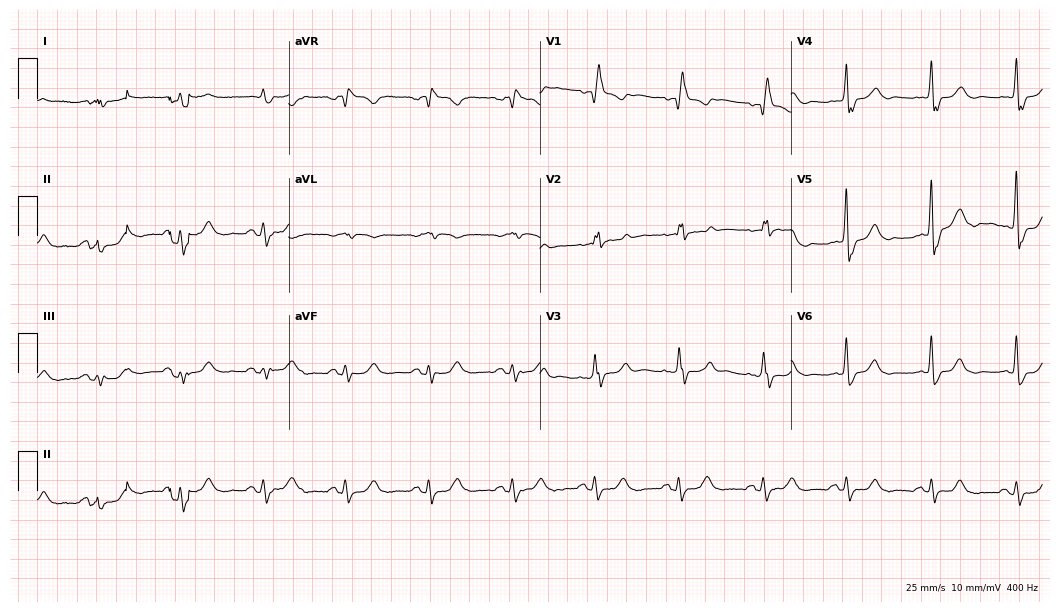
Resting 12-lead electrocardiogram. Patient: a 79-year-old man. None of these six findings is recorded: first-degree AV block, right bundle branch block, left bundle branch block, sinus bradycardia, atrial fibrillation, sinus tachycardia.